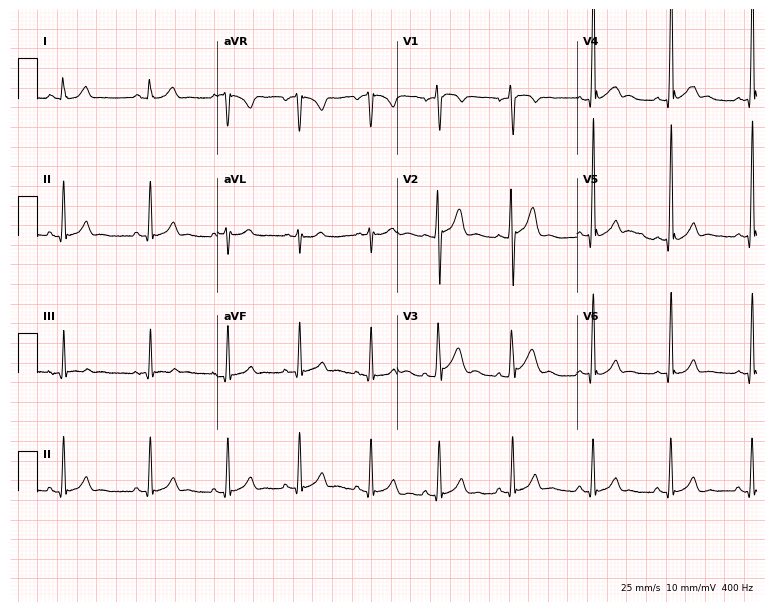
Resting 12-lead electrocardiogram. Patient: a male, 23 years old. Read as a normal ECG.